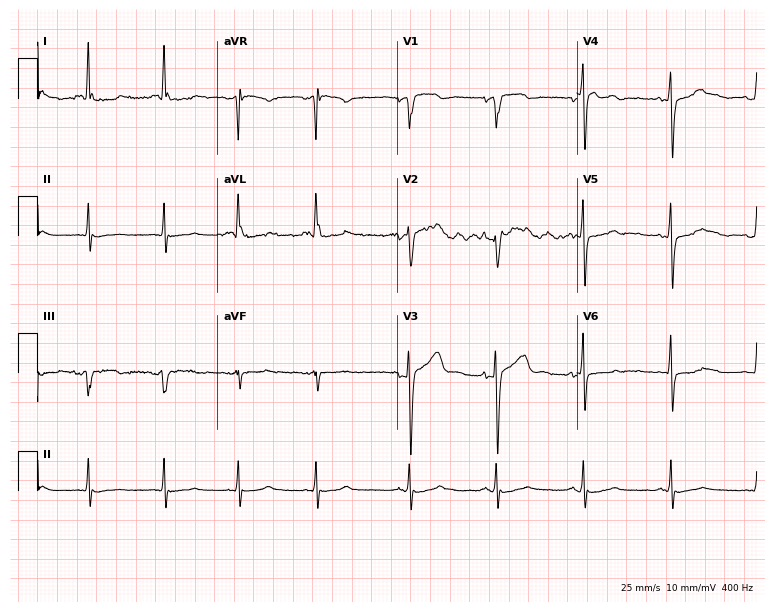
12-lead ECG from a female patient, 59 years old (7.3-second recording at 400 Hz). No first-degree AV block, right bundle branch block, left bundle branch block, sinus bradycardia, atrial fibrillation or sinus tachycardia recorded for this tracing. Findings outside these six are not listed.